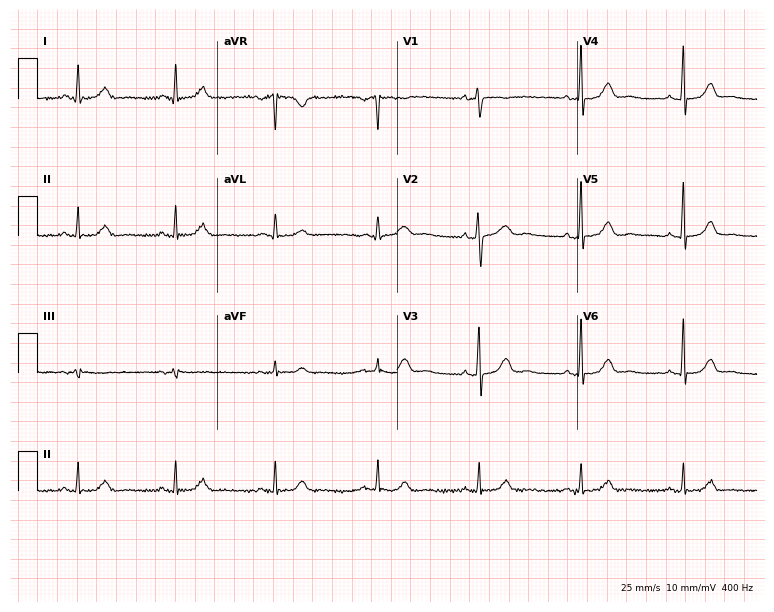
12-lead ECG (7.3-second recording at 400 Hz) from a 54-year-old woman. Labelled as a normal ECG.